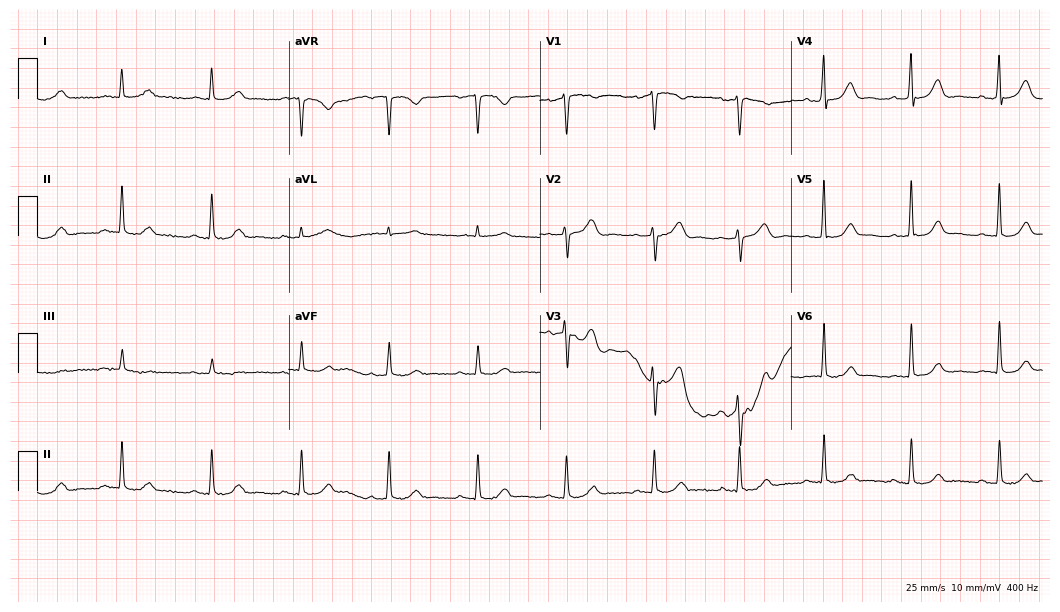
Resting 12-lead electrocardiogram (10.2-second recording at 400 Hz). Patient: a male, 76 years old. Read as a normal ECG.